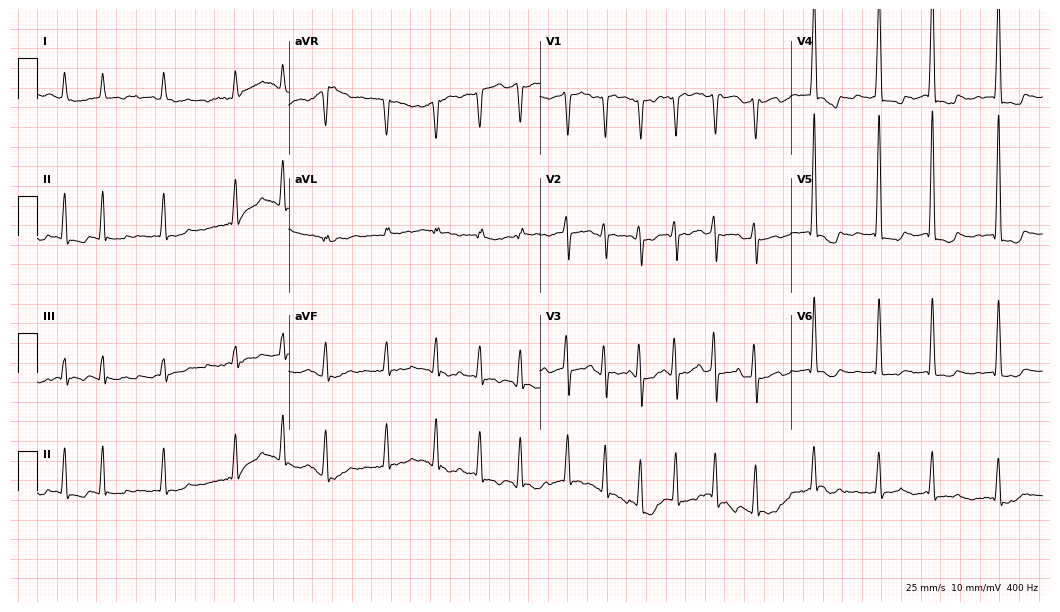
12-lead ECG from an 84-year-old female patient. Shows atrial fibrillation.